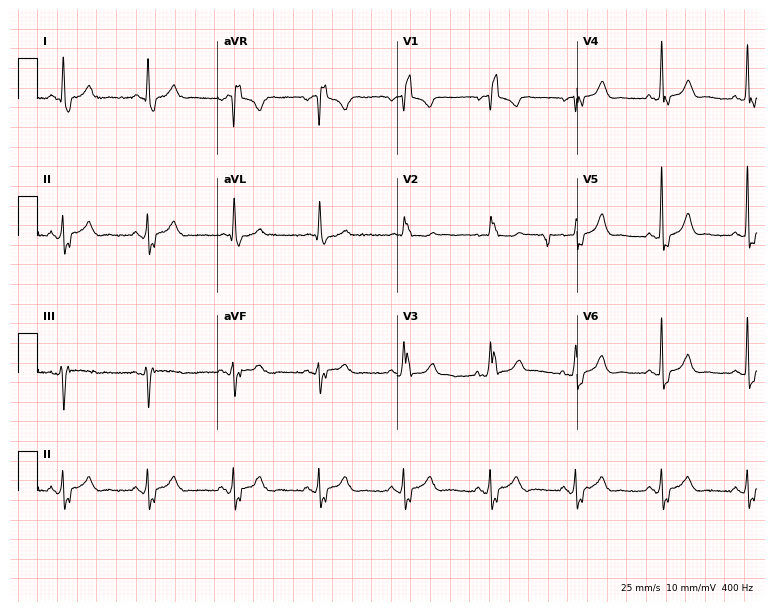
Standard 12-lead ECG recorded from a woman, 82 years old (7.3-second recording at 400 Hz). The tracing shows right bundle branch block (RBBB).